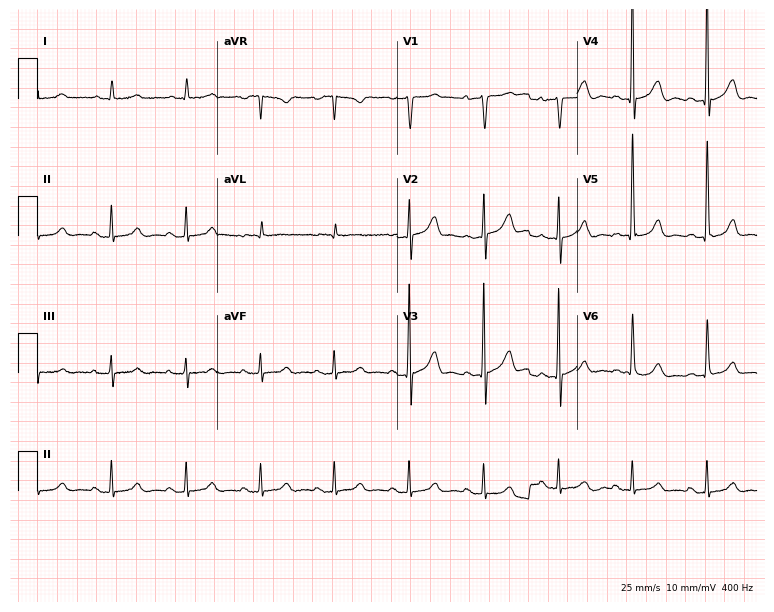
Electrocardiogram, a male, 70 years old. Overall reading on record: normal ECG.